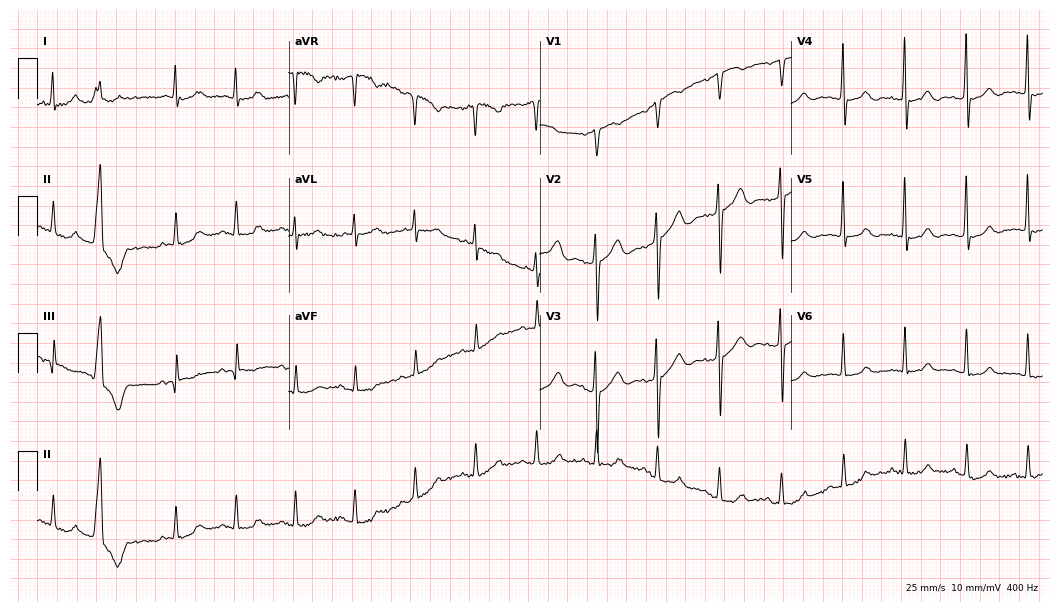
ECG — a 73-year-old woman. Labelled as a normal ECG.